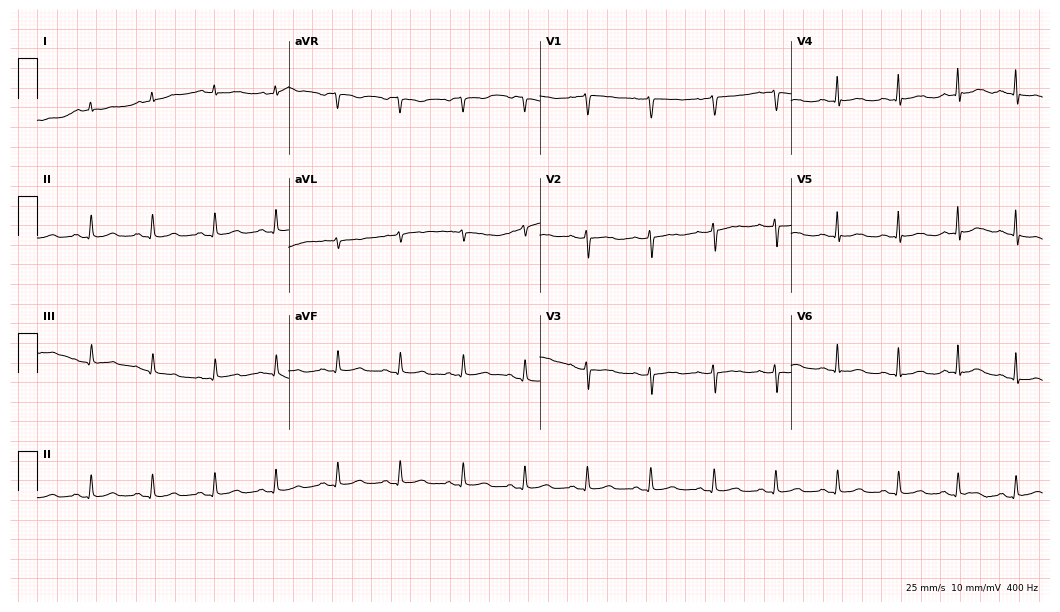
Resting 12-lead electrocardiogram. Patient: a female, 35 years old. None of these six findings is recorded: first-degree AV block, right bundle branch block (RBBB), left bundle branch block (LBBB), sinus bradycardia, atrial fibrillation (AF), sinus tachycardia.